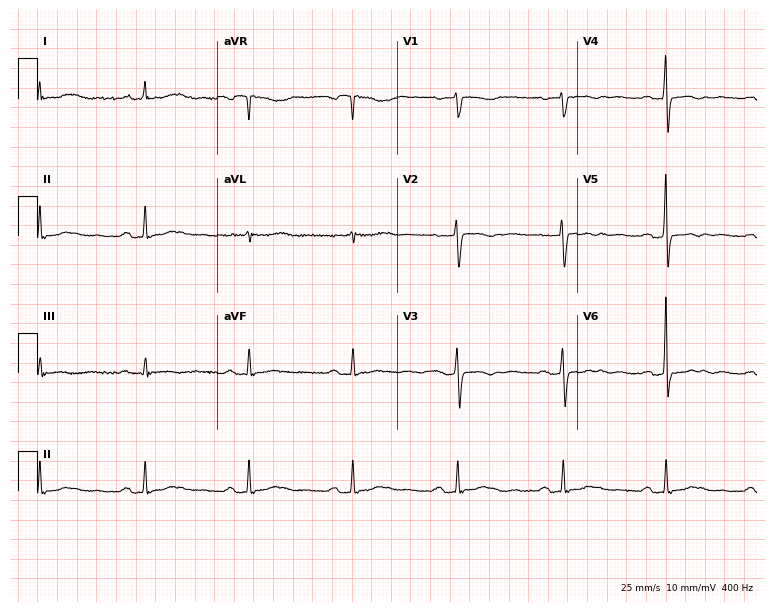
ECG (7.3-second recording at 400 Hz) — a female patient, 55 years old. Findings include first-degree AV block.